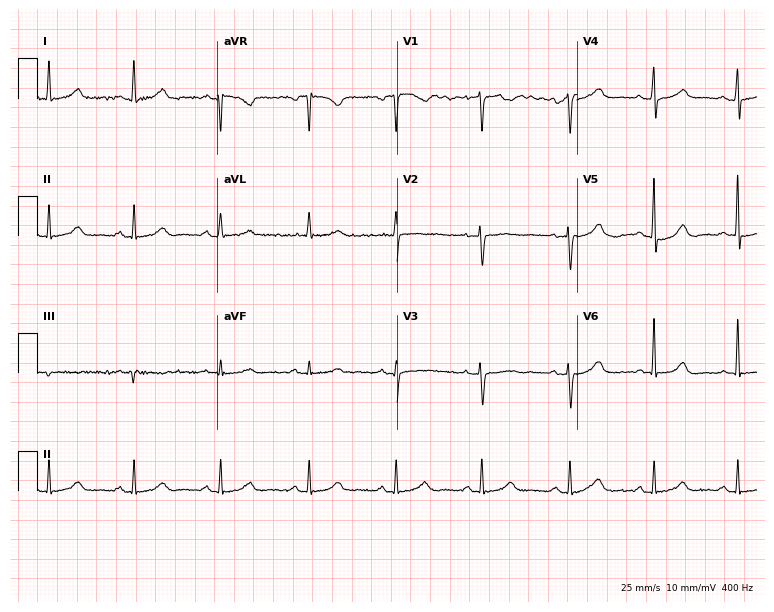
ECG (7.3-second recording at 400 Hz) — a woman, 47 years old. Labelled as a normal ECG.